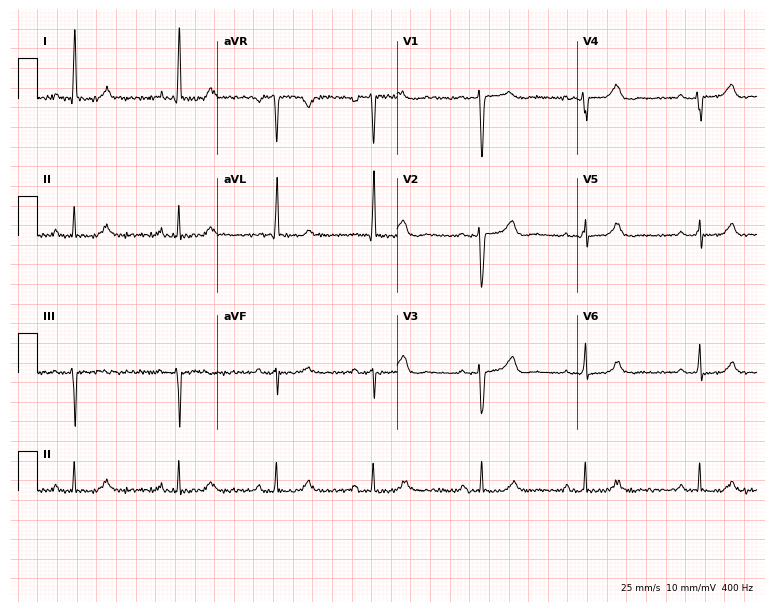
12-lead ECG from a woman, 61 years old. Screened for six findings — first-degree AV block, right bundle branch block, left bundle branch block, sinus bradycardia, atrial fibrillation, sinus tachycardia — none is recorded.